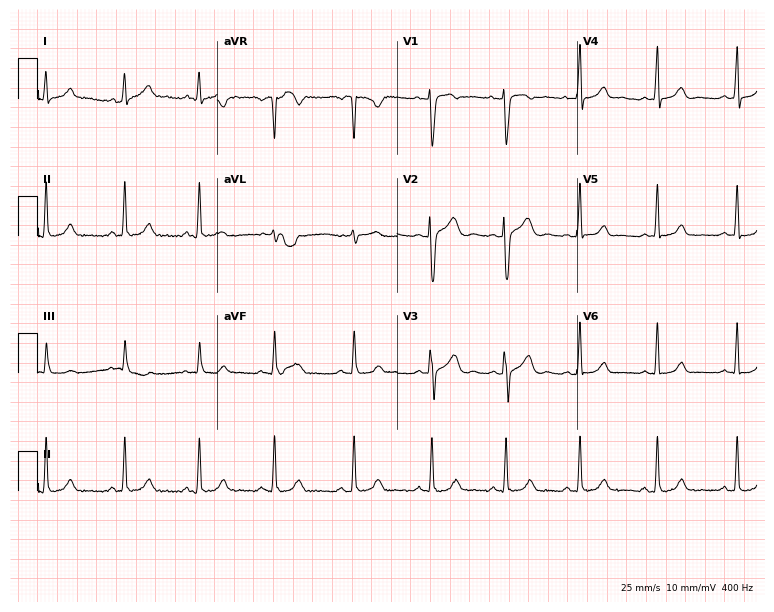
Standard 12-lead ECG recorded from a woman, 29 years old (7.3-second recording at 400 Hz). Read as a normal ECG.